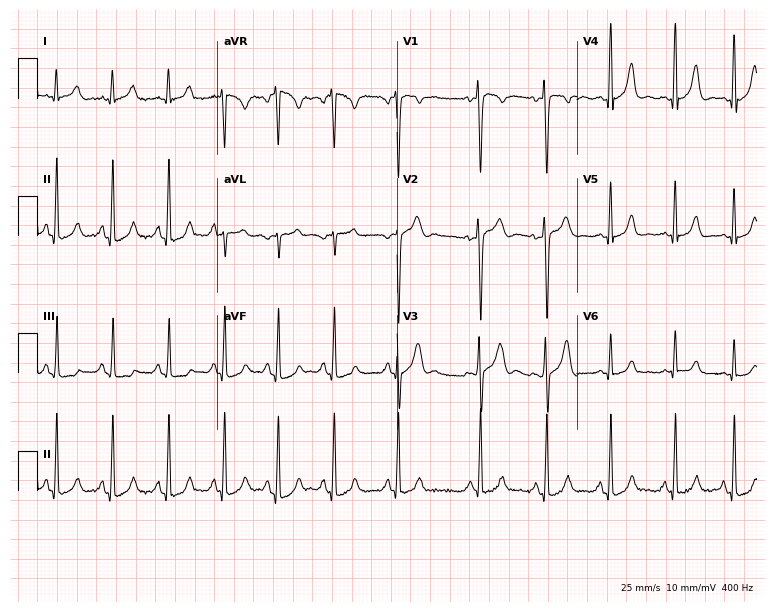
Resting 12-lead electrocardiogram (7.3-second recording at 400 Hz). Patient: a 30-year-old female. None of these six findings is recorded: first-degree AV block, right bundle branch block, left bundle branch block, sinus bradycardia, atrial fibrillation, sinus tachycardia. Other findings, if any, are not listed.